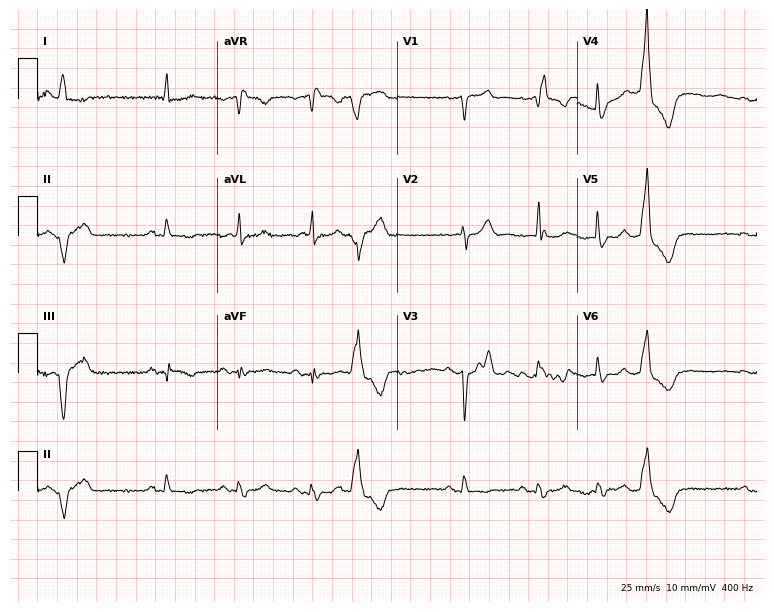
ECG (7.3-second recording at 400 Hz) — an 83-year-old male. Findings include atrial fibrillation (AF).